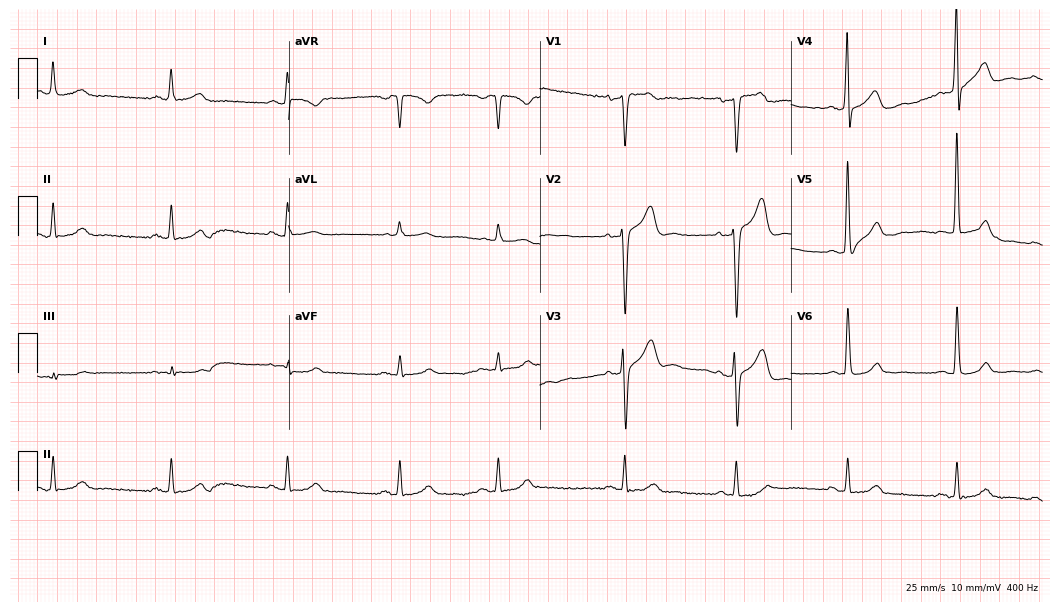
Resting 12-lead electrocardiogram. Patient: a male, 49 years old. None of these six findings is recorded: first-degree AV block, right bundle branch block, left bundle branch block, sinus bradycardia, atrial fibrillation, sinus tachycardia.